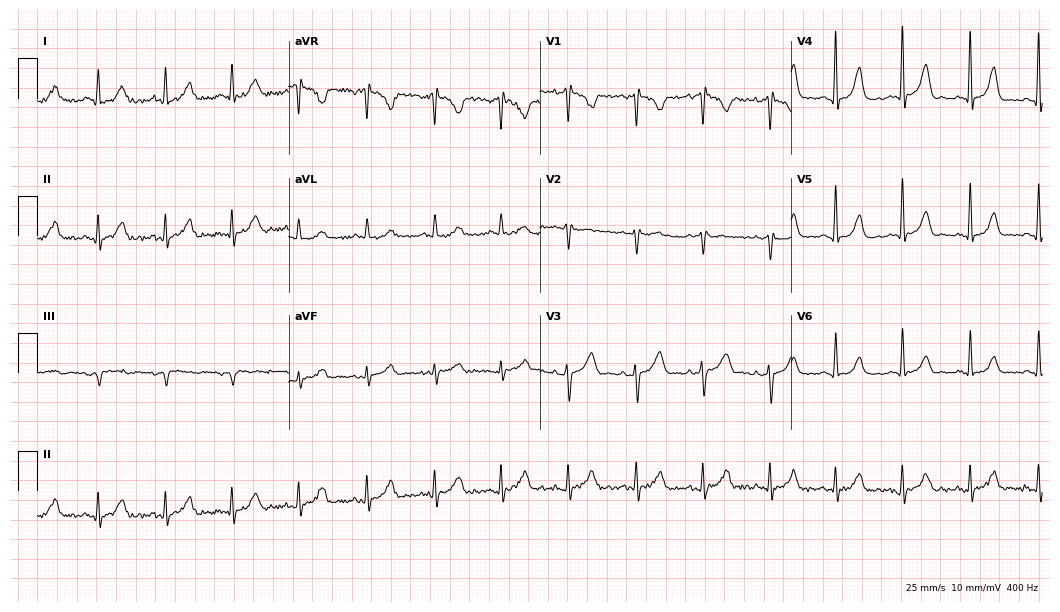
12-lead ECG (10.2-second recording at 400 Hz) from a woman, 71 years old. Screened for six findings — first-degree AV block, right bundle branch block, left bundle branch block, sinus bradycardia, atrial fibrillation, sinus tachycardia — none is recorded. Other findings, if any, are not listed.